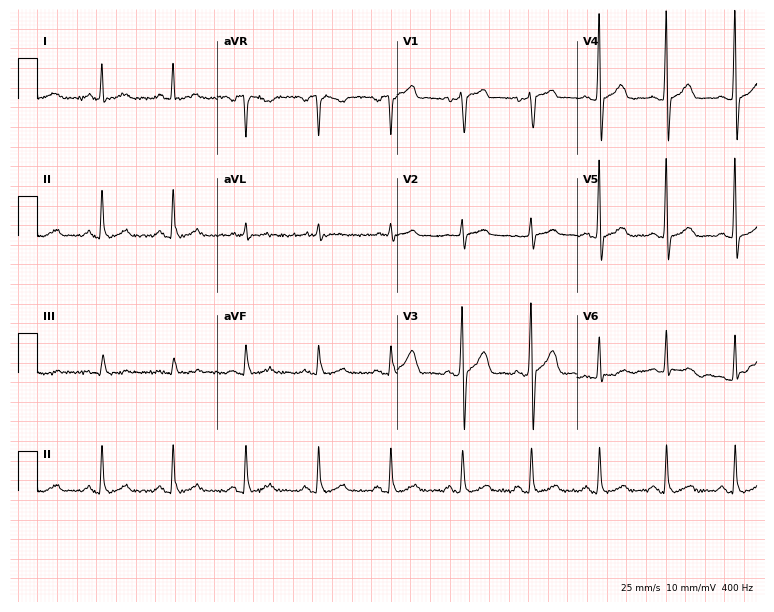
Resting 12-lead electrocardiogram (7.3-second recording at 400 Hz). Patient: a man, 48 years old. None of these six findings is recorded: first-degree AV block, right bundle branch block (RBBB), left bundle branch block (LBBB), sinus bradycardia, atrial fibrillation (AF), sinus tachycardia.